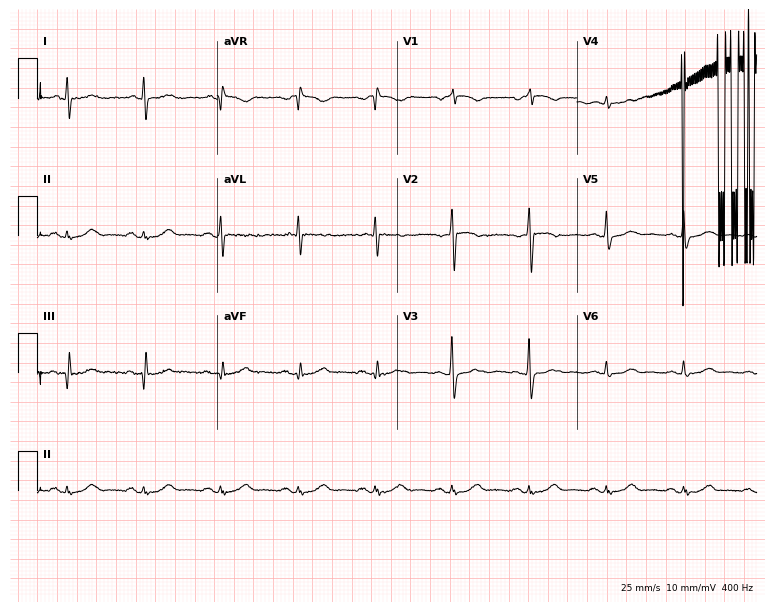
12-lead ECG from a female, 62 years old (7.3-second recording at 400 Hz). Recorded interpretation: within normal limits.